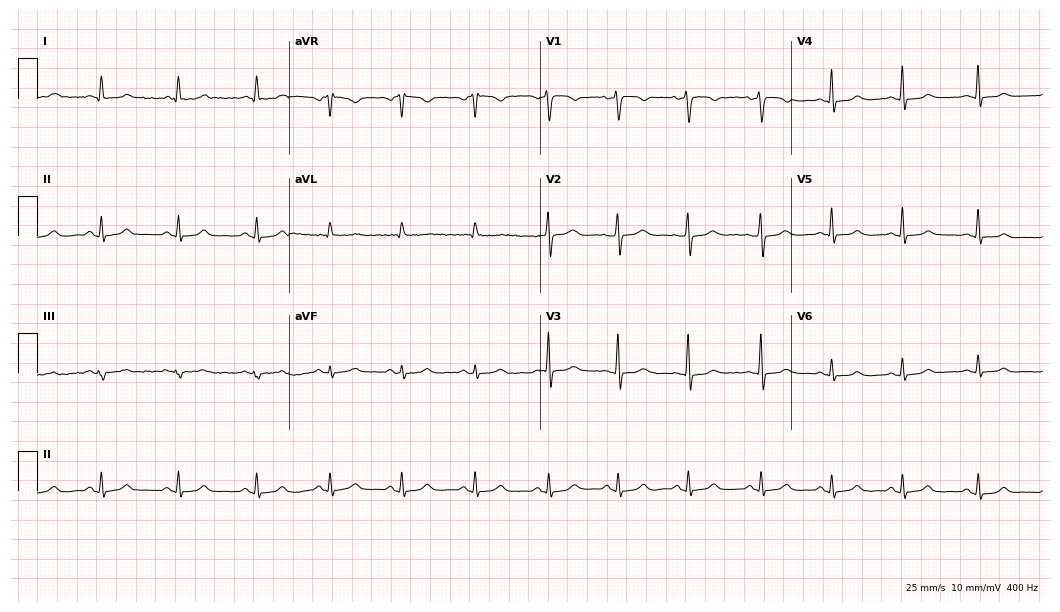
Electrocardiogram (10.2-second recording at 400 Hz), a 40-year-old female patient. Overall reading on record: normal ECG.